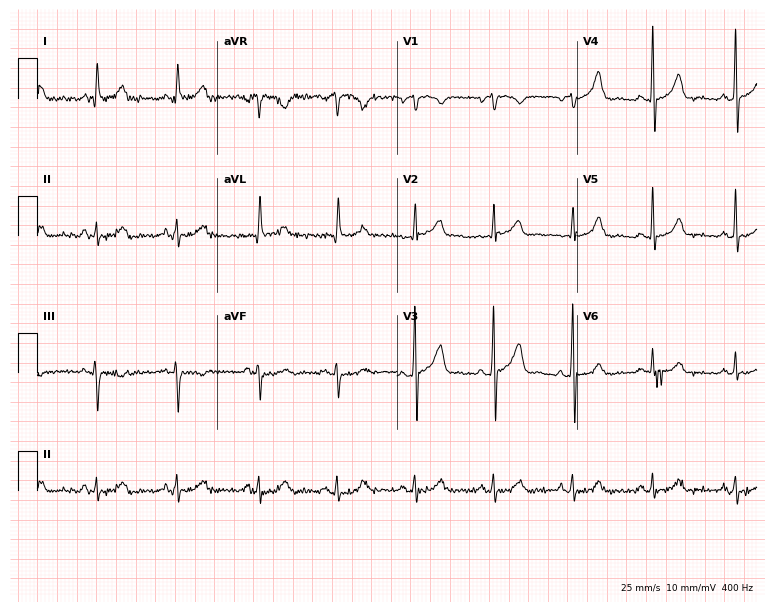
12-lead ECG from a man, 63 years old. Labelled as a normal ECG.